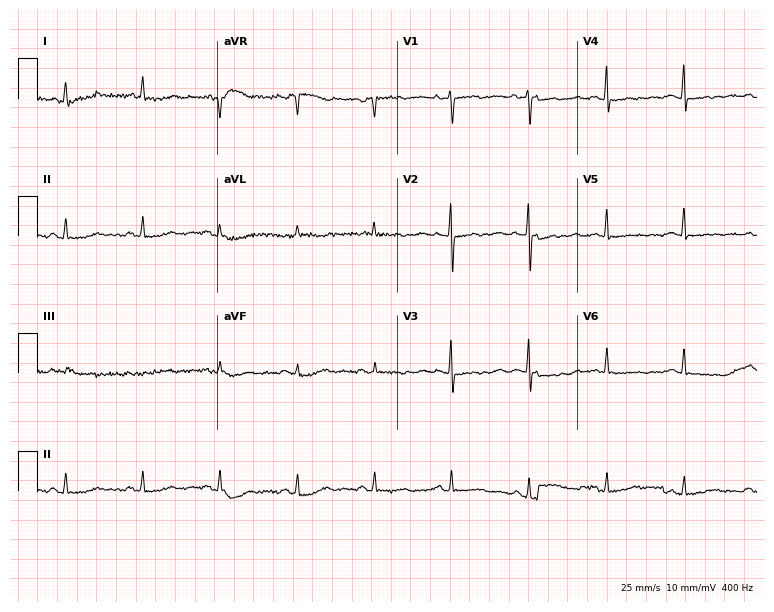
Electrocardiogram (7.3-second recording at 400 Hz), a female patient, 66 years old. Of the six screened findings (first-degree AV block, right bundle branch block (RBBB), left bundle branch block (LBBB), sinus bradycardia, atrial fibrillation (AF), sinus tachycardia), none is recorded. Other findings, if any, are not listed.